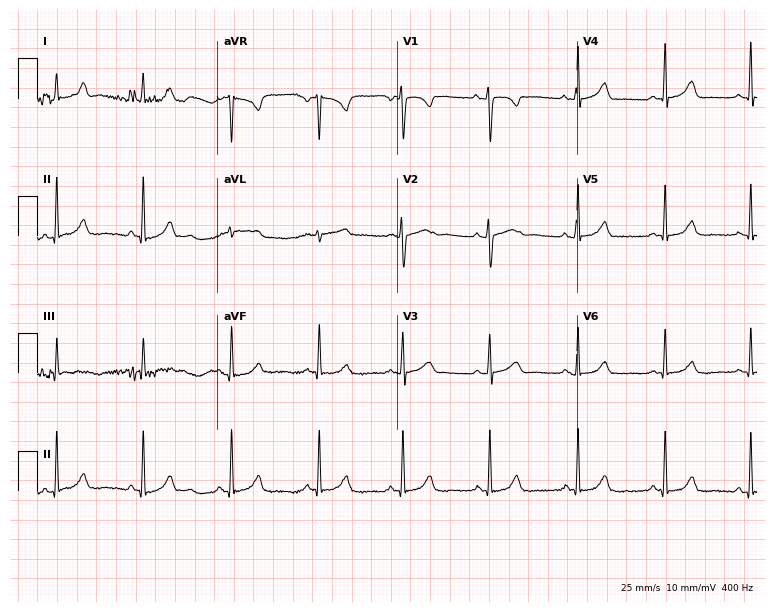
Resting 12-lead electrocardiogram (7.3-second recording at 400 Hz). Patient: a 20-year-old female. None of these six findings is recorded: first-degree AV block, right bundle branch block (RBBB), left bundle branch block (LBBB), sinus bradycardia, atrial fibrillation (AF), sinus tachycardia.